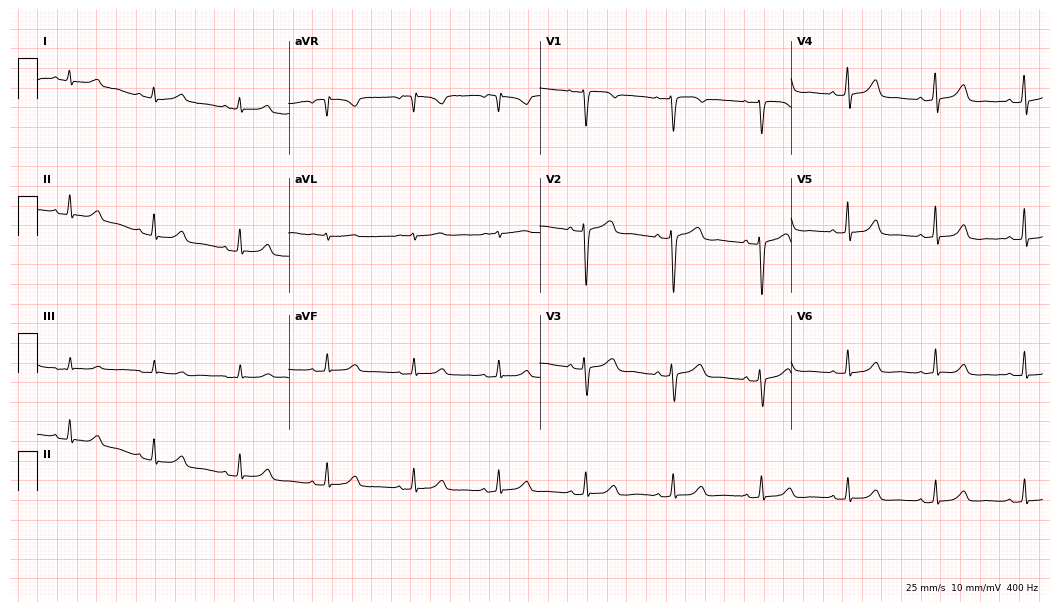
Standard 12-lead ECG recorded from a 42-year-old female. None of these six findings is recorded: first-degree AV block, right bundle branch block, left bundle branch block, sinus bradycardia, atrial fibrillation, sinus tachycardia. Only these six findings were labelled.